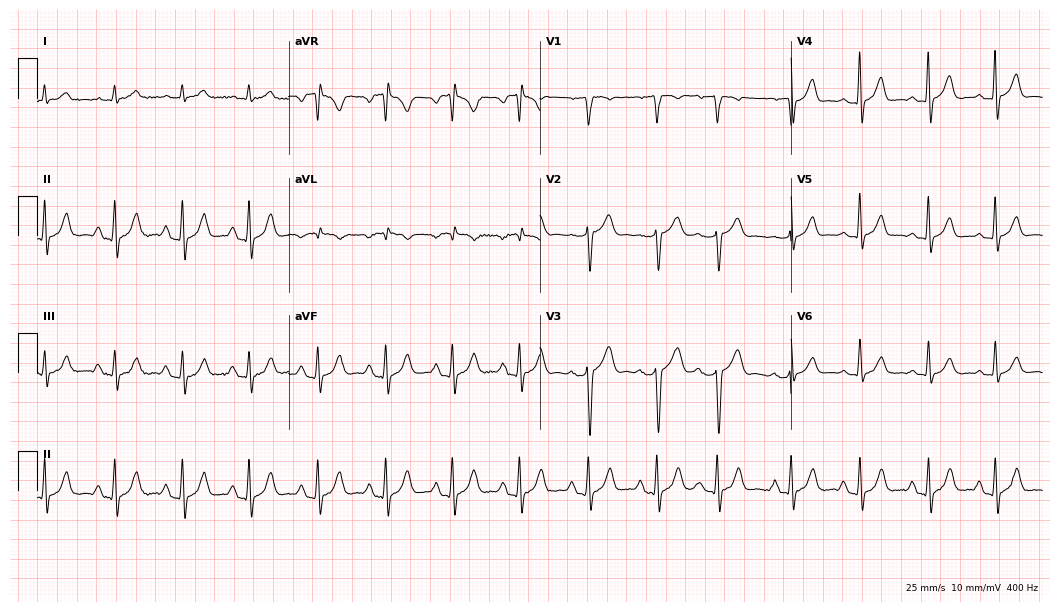
Electrocardiogram, a male patient, 84 years old. Of the six screened findings (first-degree AV block, right bundle branch block (RBBB), left bundle branch block (LBBB), sinus bradycardia, atrial fibrillation (AF), sinus tachycardia), none is recorded.